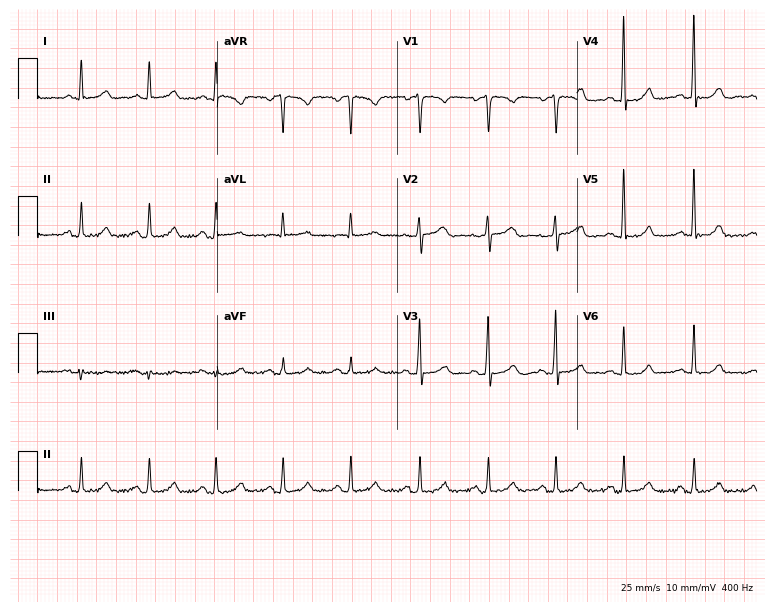
Resting 12-lead electrocardiogram. Patient: a 52-year-old female. Read as a normal ECG.